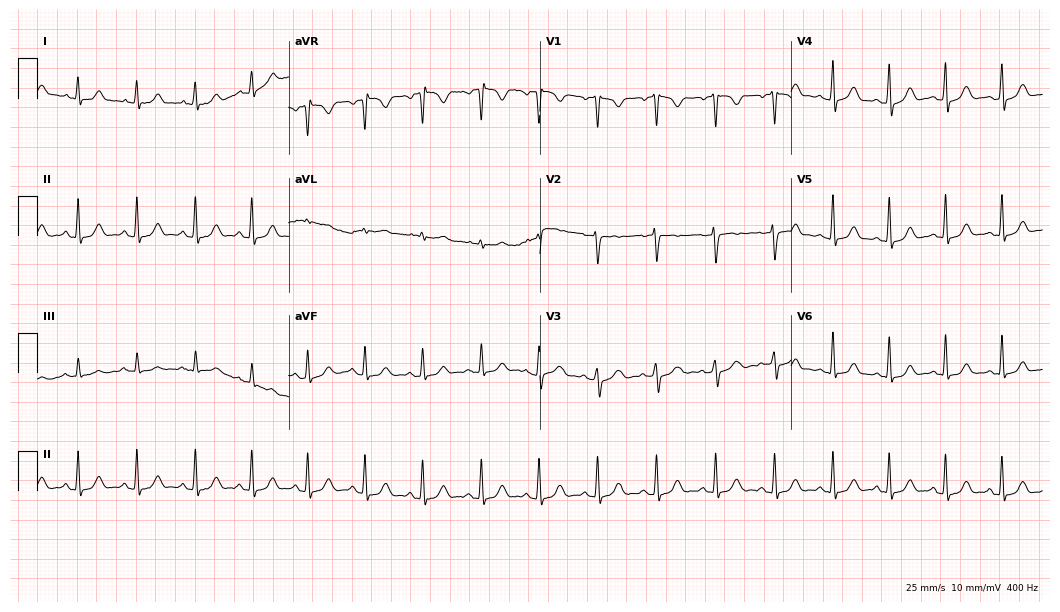
Standard 12-lead ECG recorded from a female, 28 years old. The tracing shows sinus tachycardia (a sinus rate of 100 beats per minute or more).